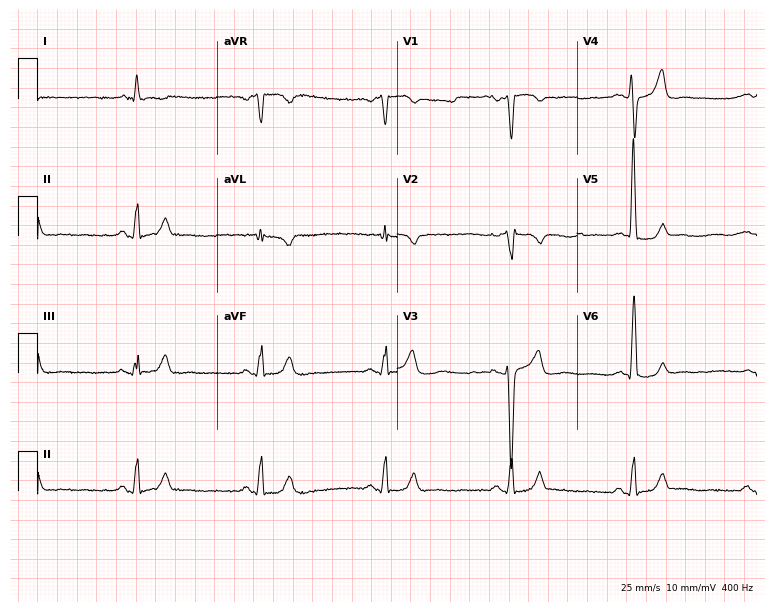
Resting 12-lead electrocardiogram. Patient: a male, 65 years old. Read as a normal ECG.